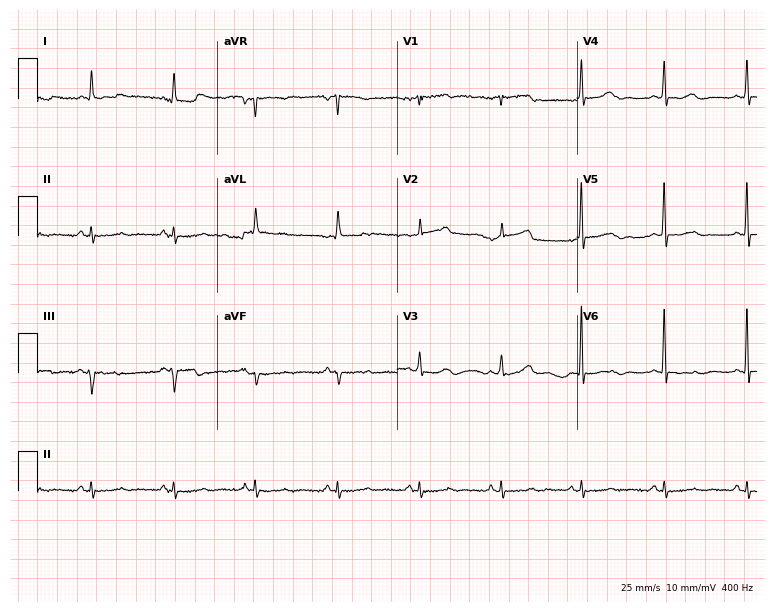
Resting 12-lead electrocardiogram. Patient: a 38-year-old male. None of these six findings is recorded: first-degree AV block, right bundle branch block, left bundle branch block, sinus bradycardia, atrial fibrillation, sinus tachycardia.